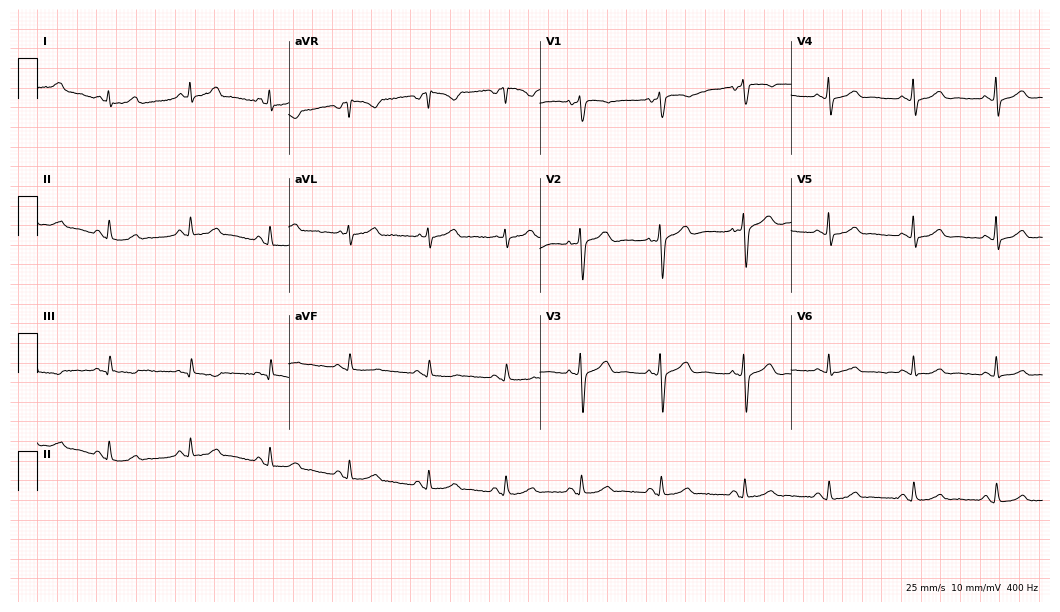
Resting 12-lead electrocardiogram. Patient: a female, 50 years old. Read as a normal ECG.